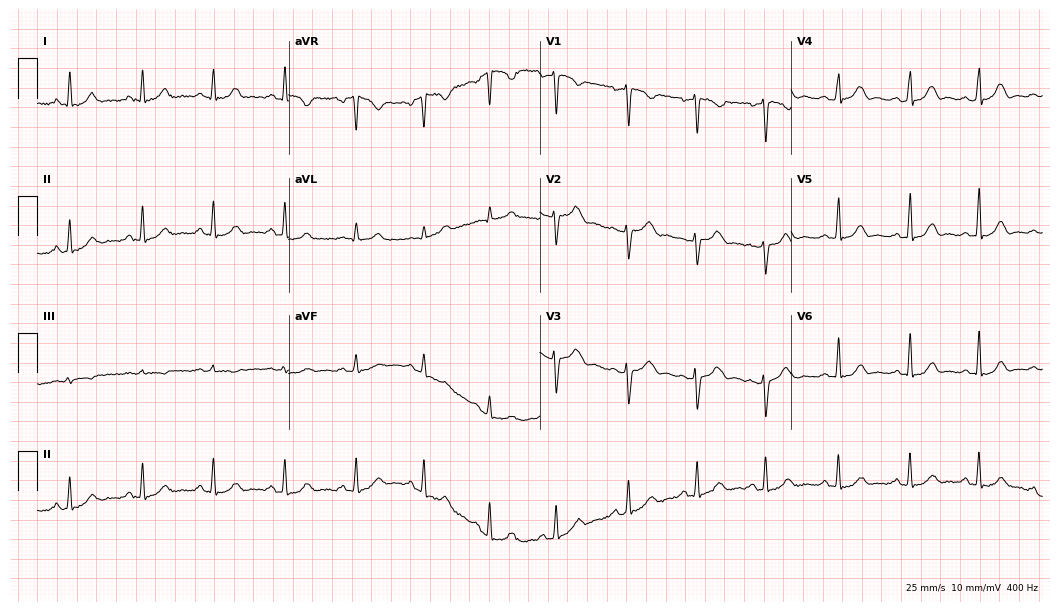
Resting 12-lead electrocardiogram (10.2-second recording at 400 Hz). Patient: a woman, 34 years old. Read as a normal ECG.